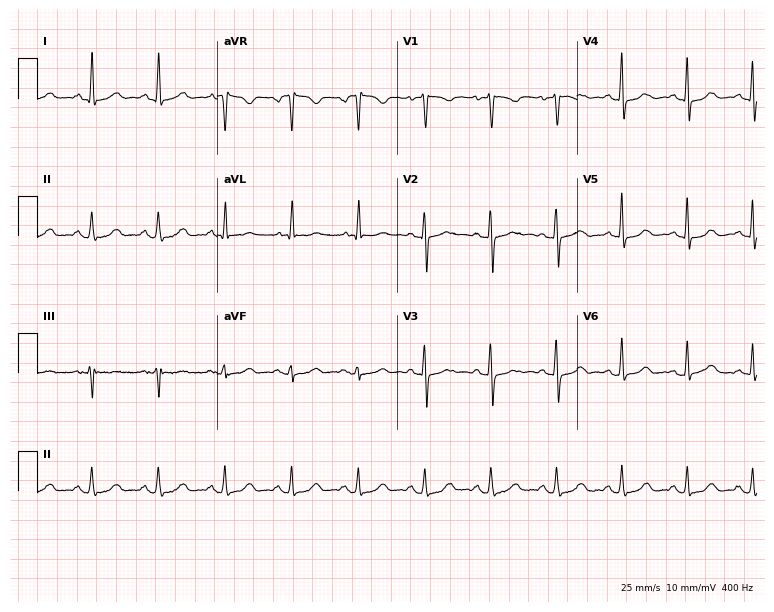
Resting 12-lead electrocardiogram. Patient: a female, 60 years old. Read as a normal ECG.